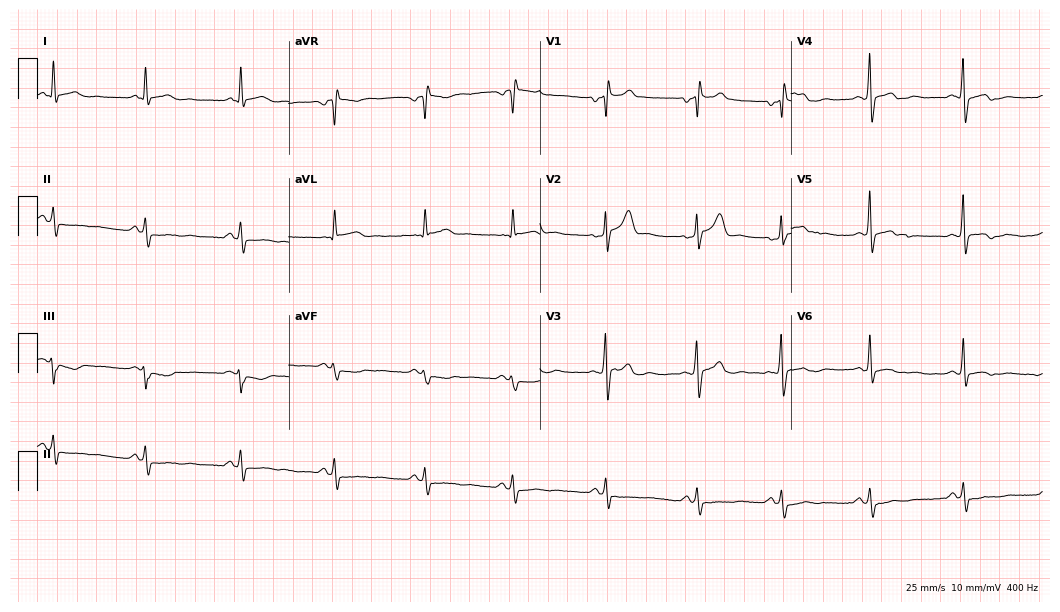
Resting 12-lead electrocardiogram (10.2-second recording at 400 Hz). Patient: a 45-year-old man. None of these six findings is recorded: first-degree AV block, right bundle branch block (RBBB), left bundle branch block (LBBB), sinus bradycardia, atrial fibrillation (AF), sinus tachycardia.